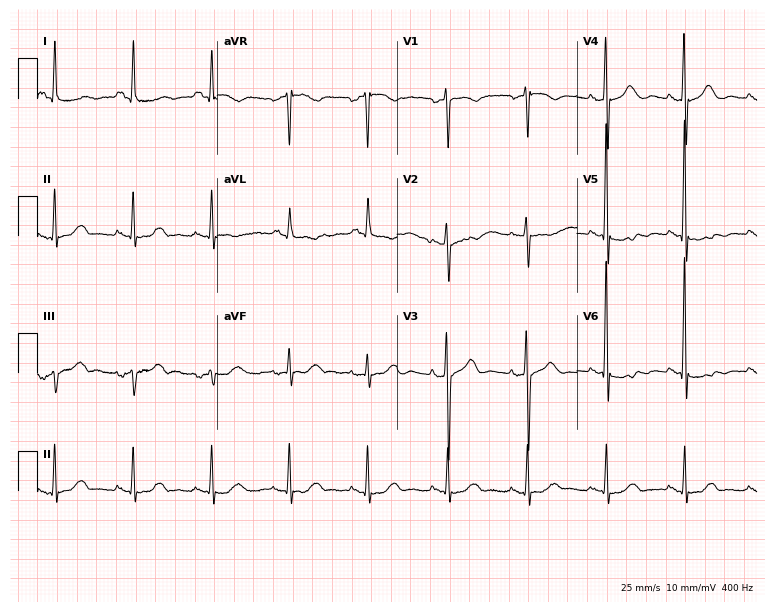
12-lead ECG from an 80-year-old female. No first-degree AV block, right bundle branch block (RBBB), left bundle branch block (LBBB), sinus bradycardia, atrial fibrillation (AF) or sinus tachycardia recorded for this tracing.